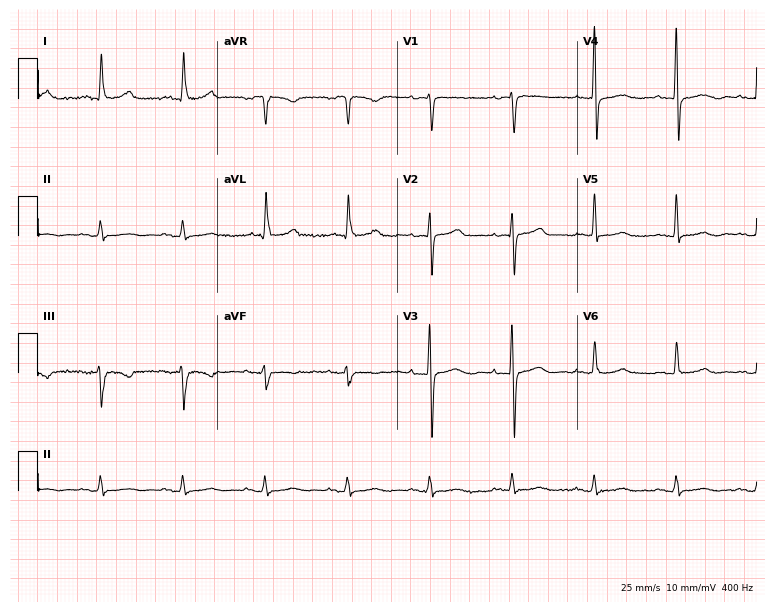
12-lead ECG from a female patient, 80 years old. No first-degree AV block, right bundle branch block, left bundle branch block, sinus bradycardia, atrial fibrillation or sinus tachycardia recorded for this tracing. Findings outside these six are not listed.